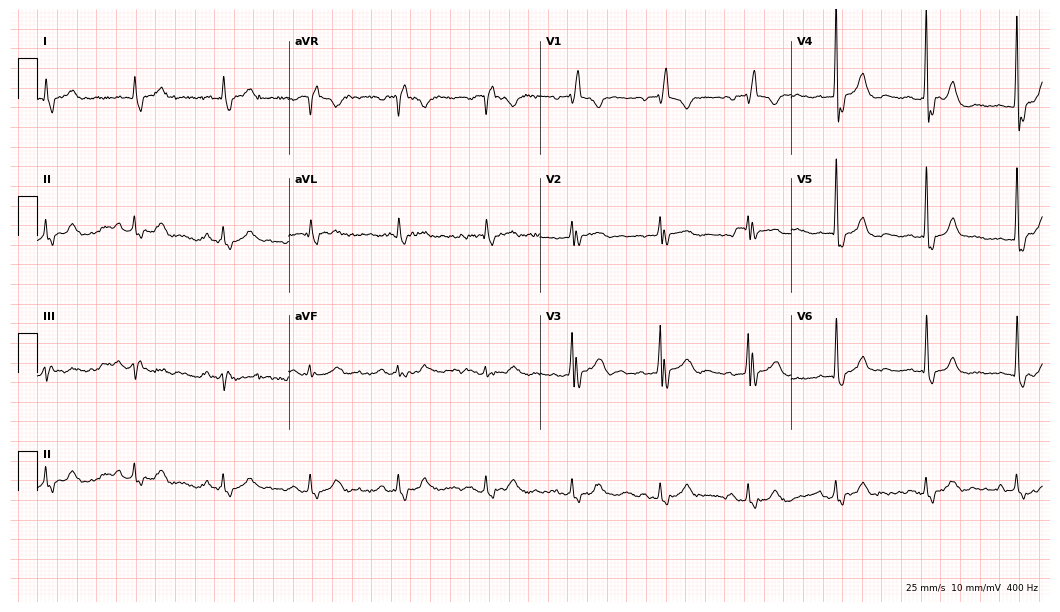
12-lead ECG from an 80-year-old male patient. Findings include right bundle branch block.